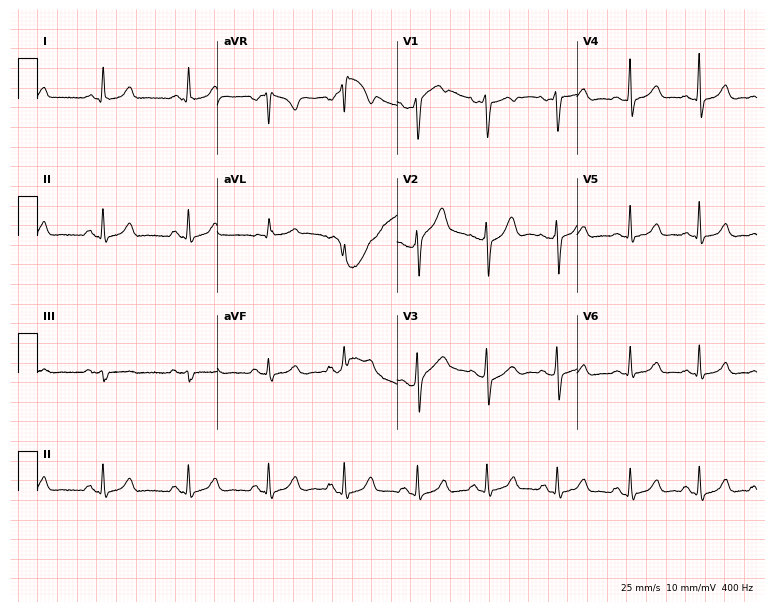
ECG (7.3-second recording at 400 Hz) — a 34-year-old woman. Labelled as a normal ECG.